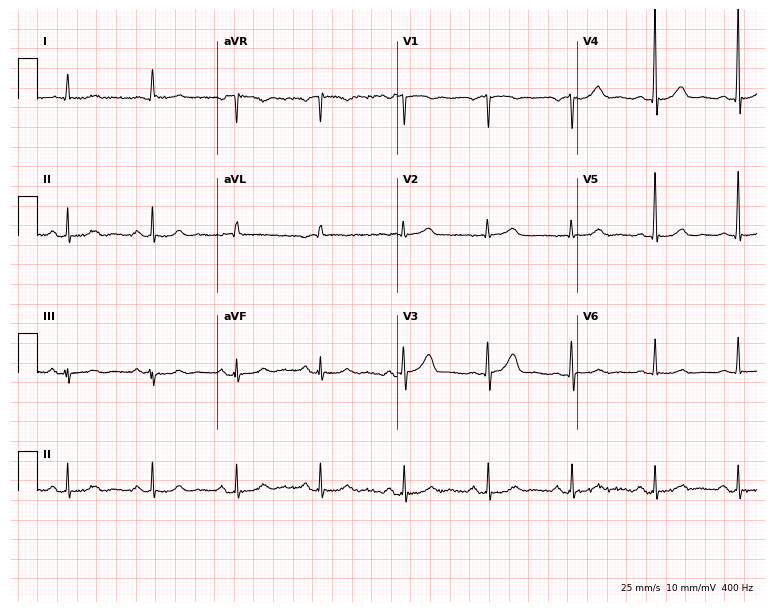
12-lead ECG from a male patient, 75 years old. Screened for six findings — first-degree AV block, right bundle branch block, left bundle branch block, sinus bradycardia, atrial fibrillation, sinus tachycardia — none is recorded.